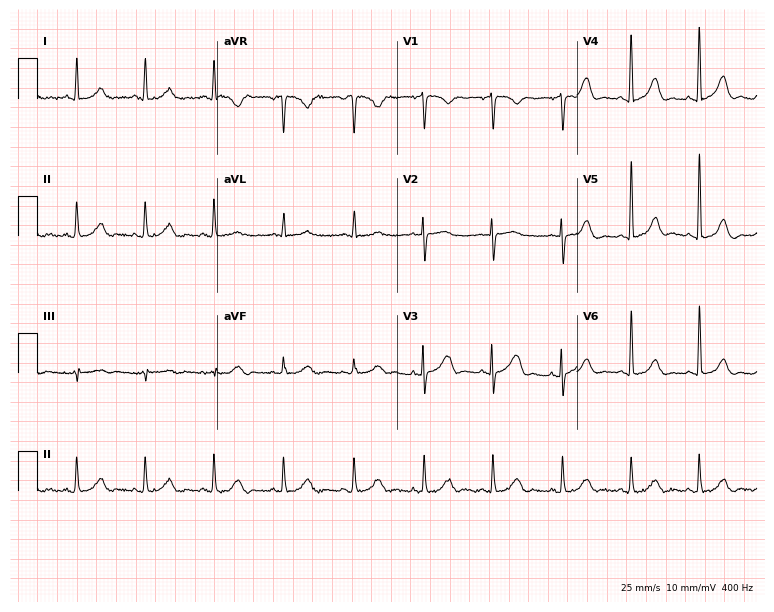
12-lead ECG from a female, 59 years old. Labelled as a normal ECG.